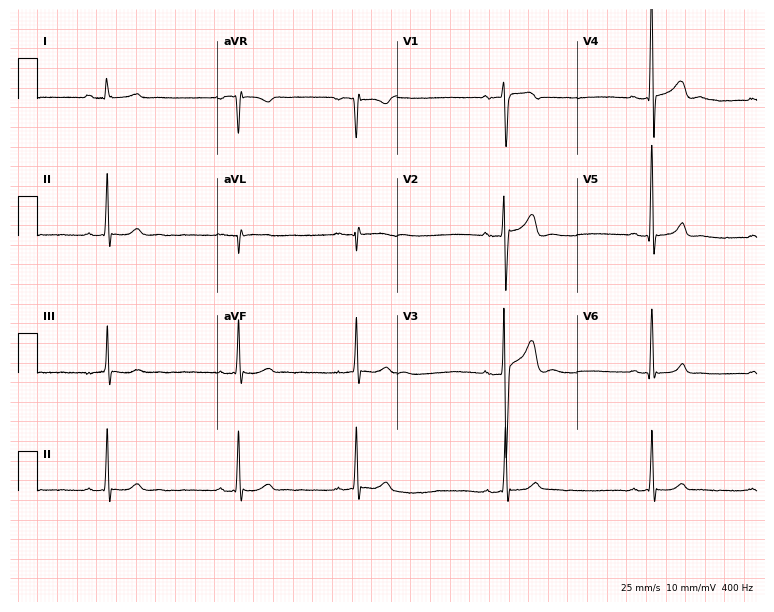
12-lead ECG (7.3-second recording at 400 Hz) from a 23-year-old male. Findings include sinus bradycardia (a sinus rate of 50 beats per minute or less).